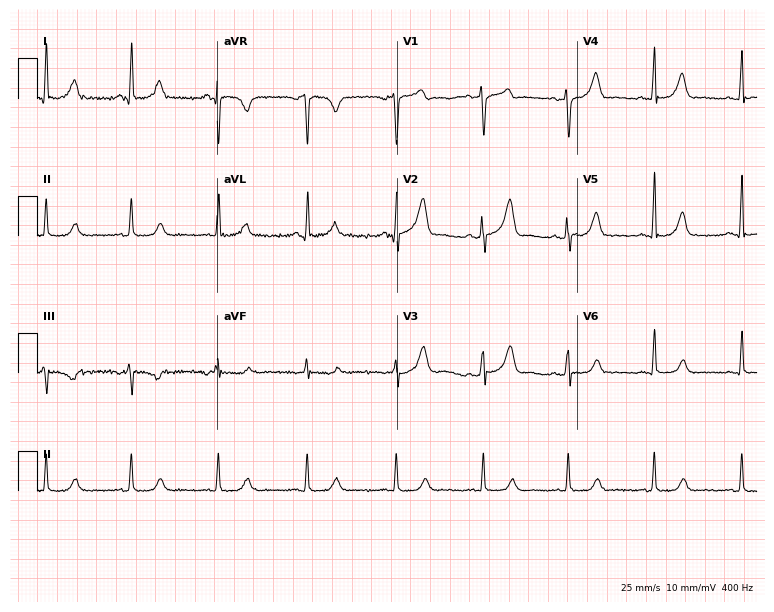
Resting 12-lead electrocardiogram (7.3-second recording at 400 Hz). Patient: a 45-year-old female. Read as a normal ECG.